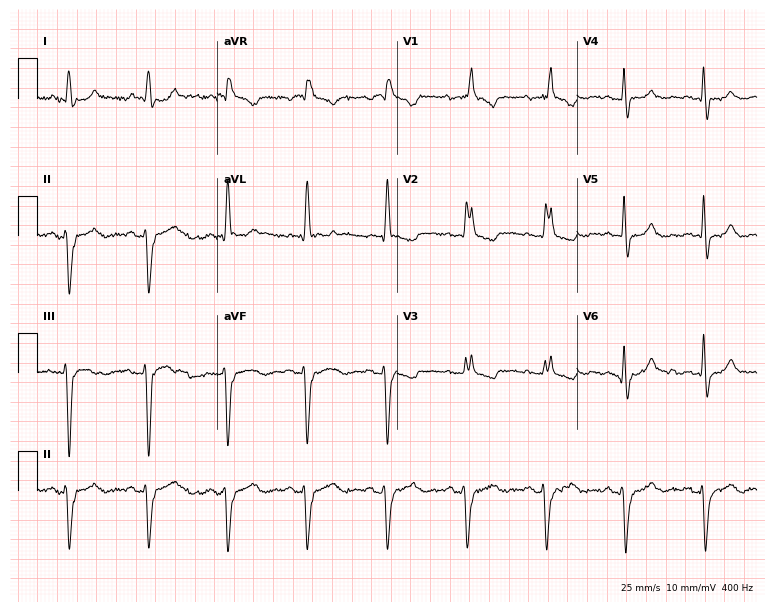
Electrocardiogram, a female, 78 years old. Interpretation includes right bundle branch block.